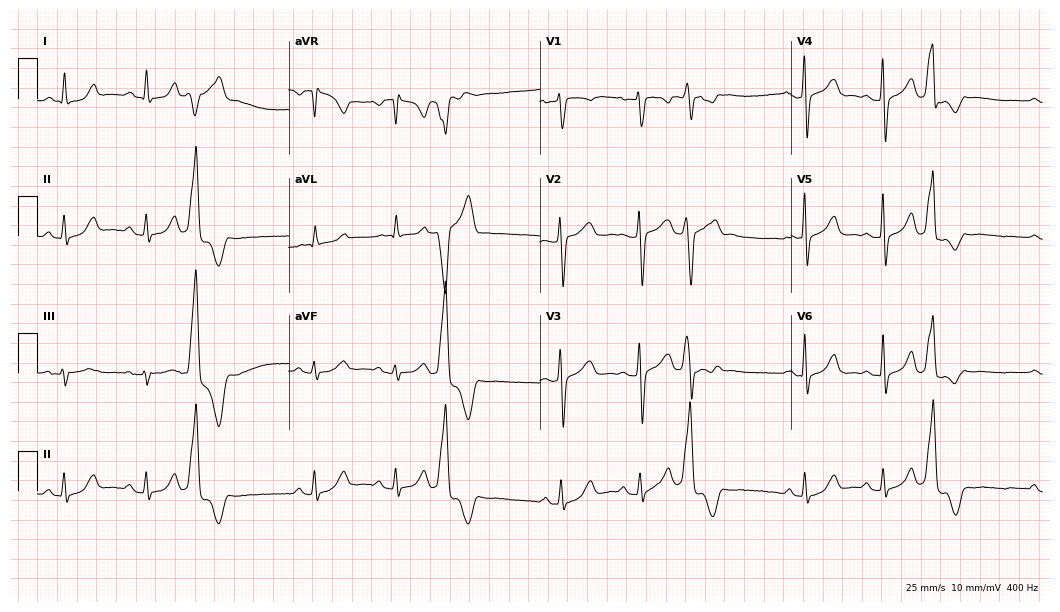
Electrocardiogram (10.2-second recording at 400 Hz), a 37-year-old female. Of the six screened findings (first-degree AV block, right bundle branch block, left bundle branch block, sinus bradycardia, atrial fibrillation, sinus tachycardia), none is recorded.